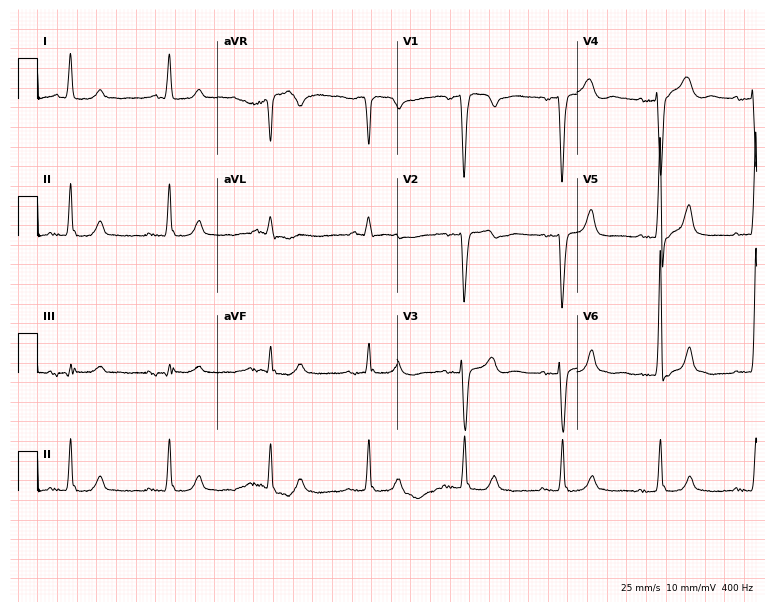
Electrocardiogram, a male, 87 years old. Overall reading on record: normal ECG.